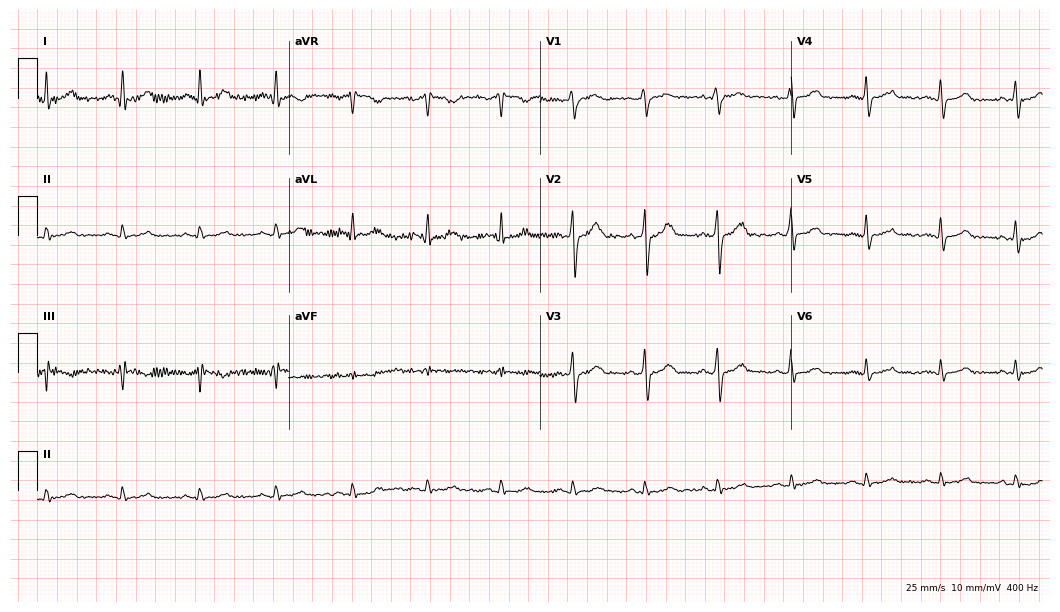
12-lead ECG from a 35-year-old male patient. Labelled as a normal ECG.